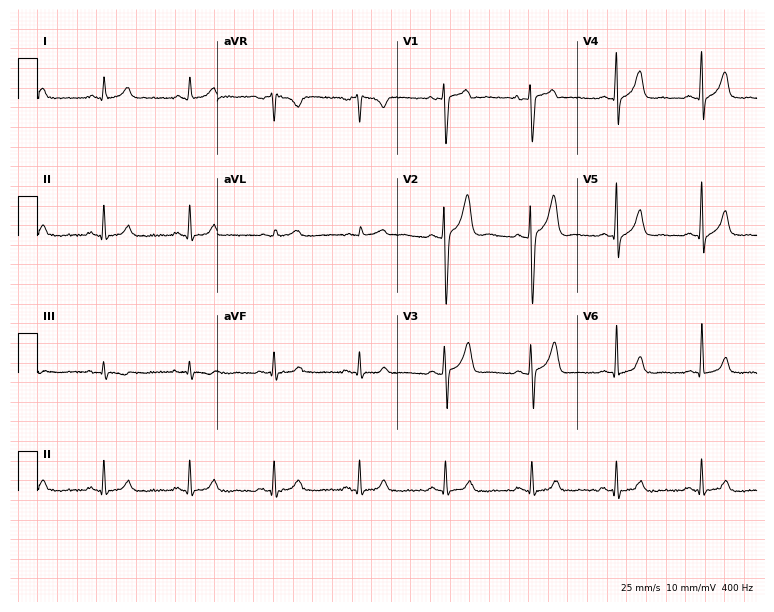
Standard 12-lead ECG recorded from a 46-year-old male. Read as a normal ECG.